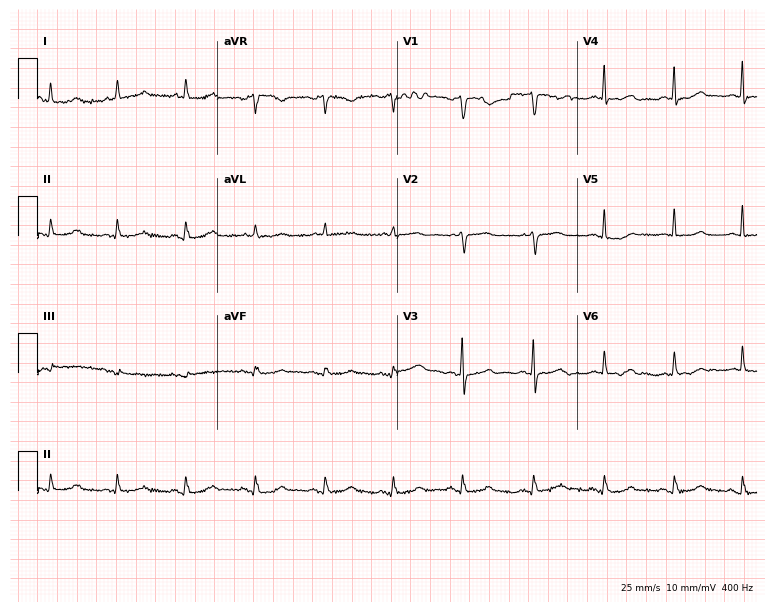
Electrocardiogram, a 48-year-old female. Overall reading on record: normal ECG.